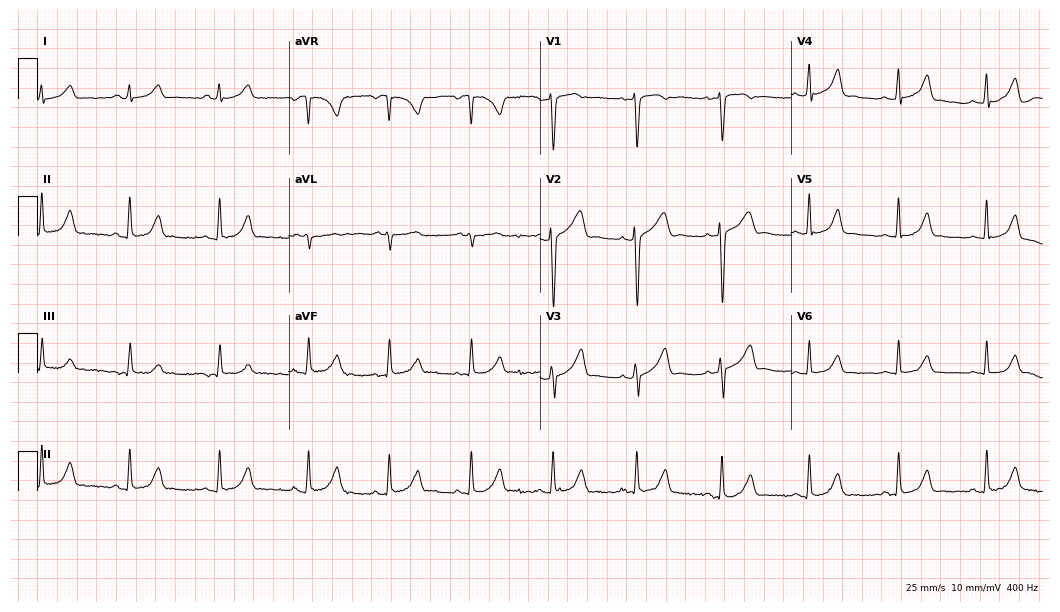
ECG (10.2-second recording at 400 Hz) — a 41-year-old woman. Labelled as a normal ECG.